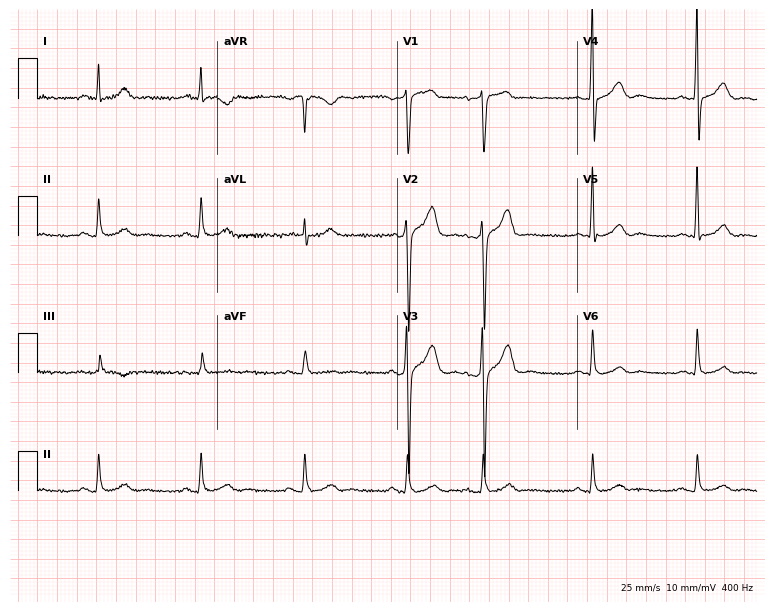
12-lead ECG from a 60-year-old male patient (7.3-second recording at 400 Hz). Recorded interpretation: within normal limits.